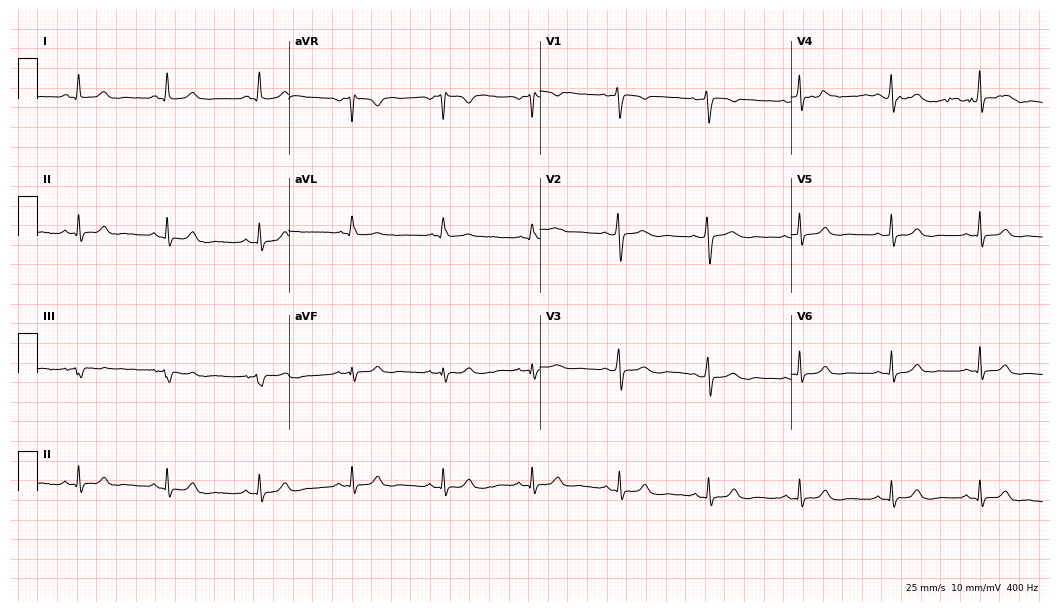
Resting 12-lead electrocardiogram. Patient: a 41-year-old woman. None of these six findings is recorded: first-degree AV block, right bundle branch block, left bundle branch block, sinus bradycardia, atrial fibrillation, sinus tachycardia. Only these six findings were labelled.